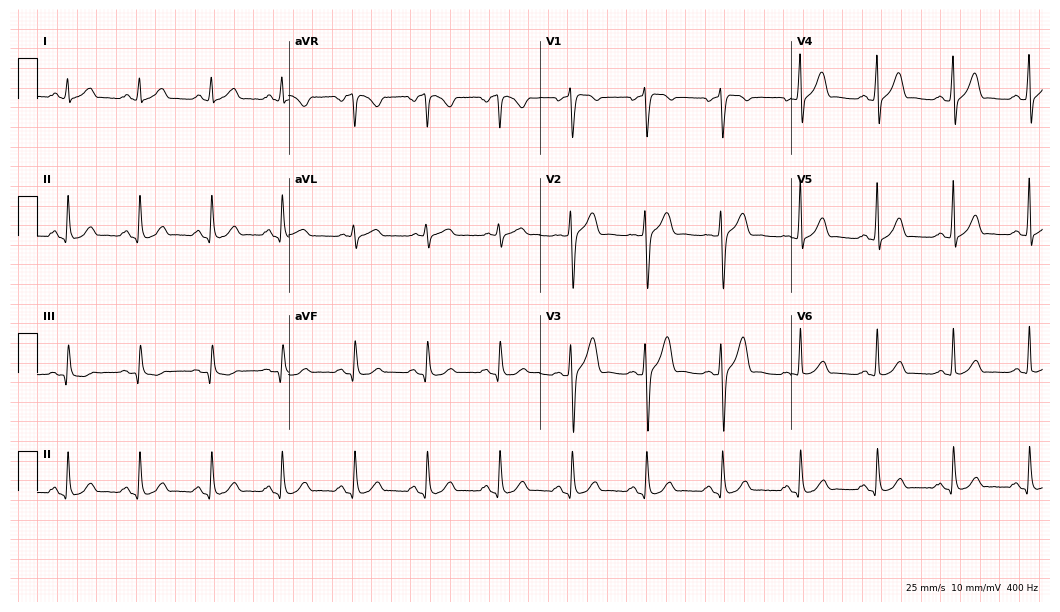
Standard 12-lead ECG recorded from a male, 38 years old. None of these six findings is recorded: first-degree AV block, right bundle branch block (RBBB), left bundle branch block (LBBB), sinus bradycardia, atrial fibrillation (AF), sinus tachycardia. Other findings, if any, are not listed.